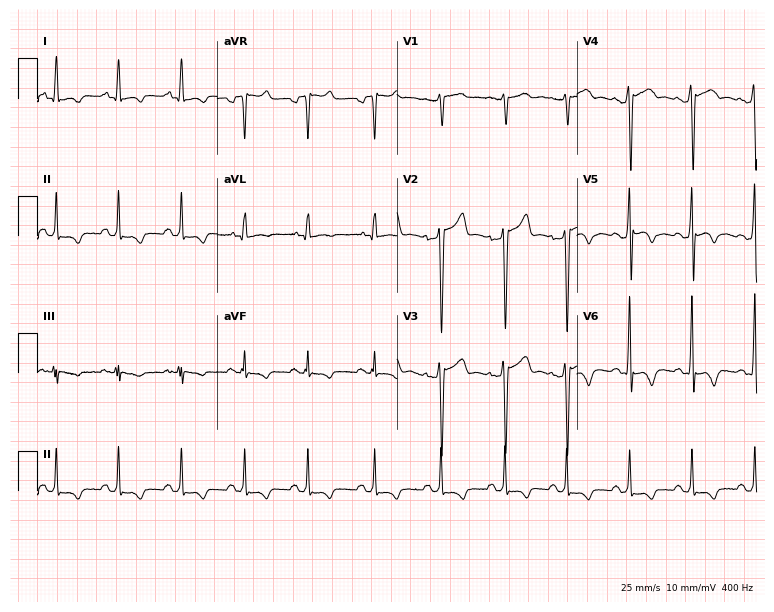
Standard 12-lead ECG recorded from a 39-year-old man. None of these six findings is recorded: first-degree AV block, right bundle branch block, left bundle branch block, sinus bradycardia, atrial fibrillation, sinus tachycardia. Findings outside these six are not listed.